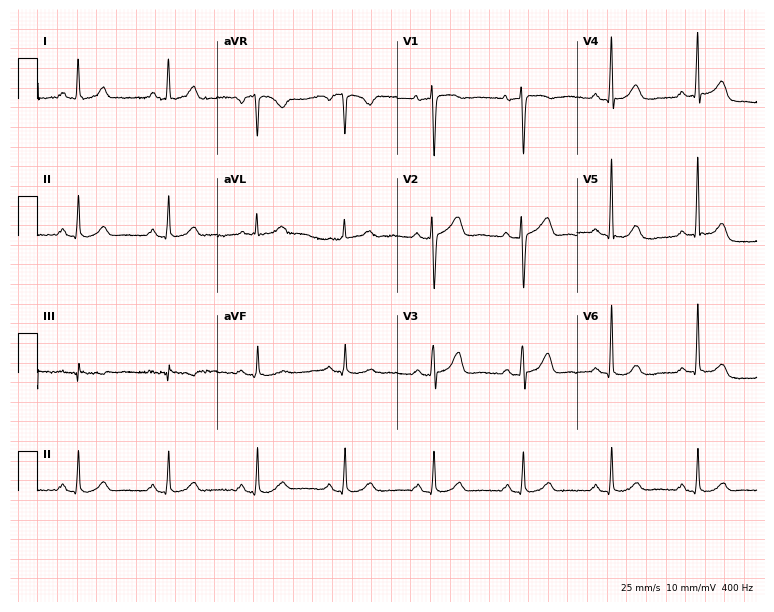
12-lead ECG from a 72-year-old female patient. Screened for six findings — first-degree AV block, right bundle branch block, left bundle branch block, sinus bradycardia, atrial fibrillation, sinus tachycardia — none is recorded.